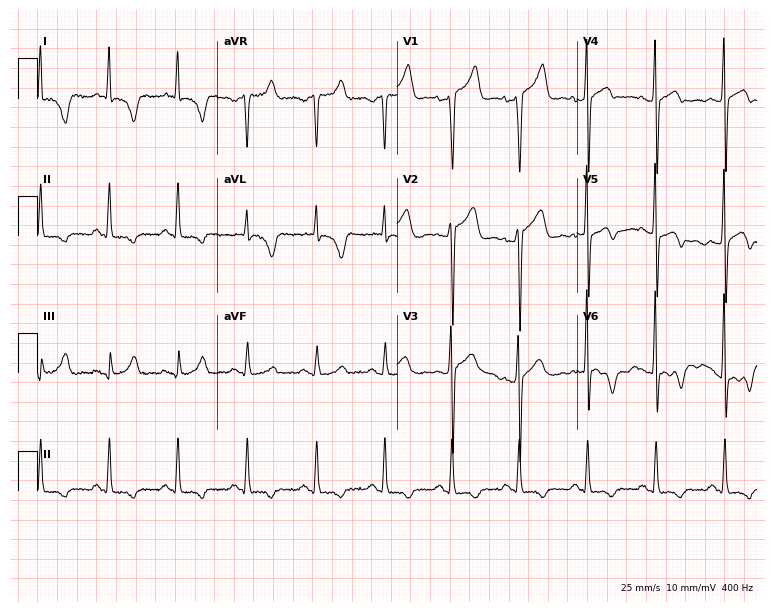
Electrocardiogram, a female, 44 years old. Of the six screened findings (first-degree AV block, right bundle branch block, left bundle branch block, sinus bradycardia, atrial fibrillation, sinus tachycardia), none is recorded.